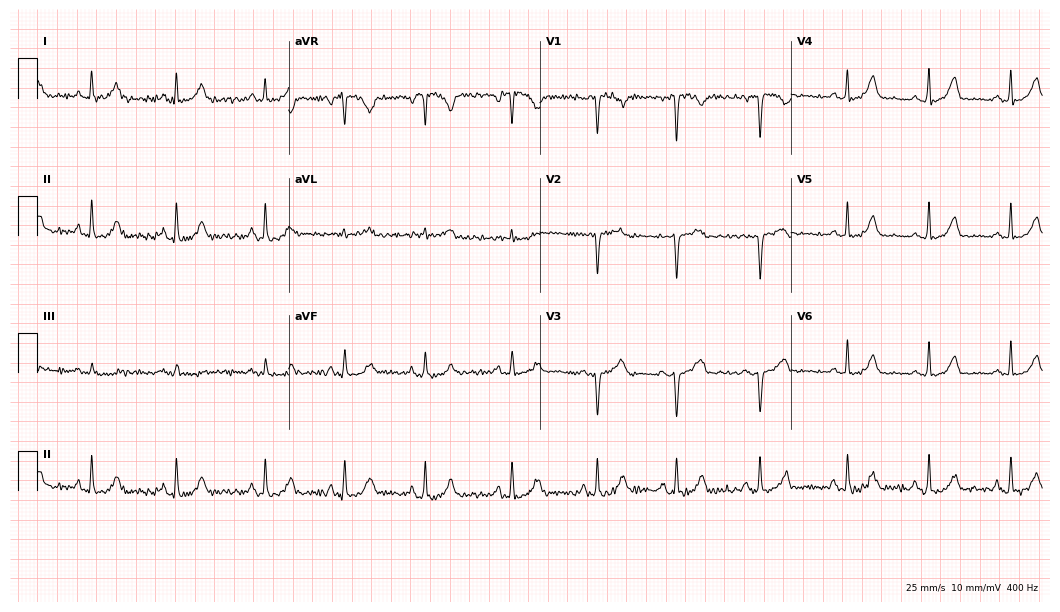
ECG (10.2-second recording at 400 Hz) — a female patient, 52 years old. Screened for six findings — first-degree AV block, right bundle branch block, left bundle branch block, sinus bradycardia, atrial fibrillation, sinus tachycardia — none is recorded. Only these six findings were labelled.